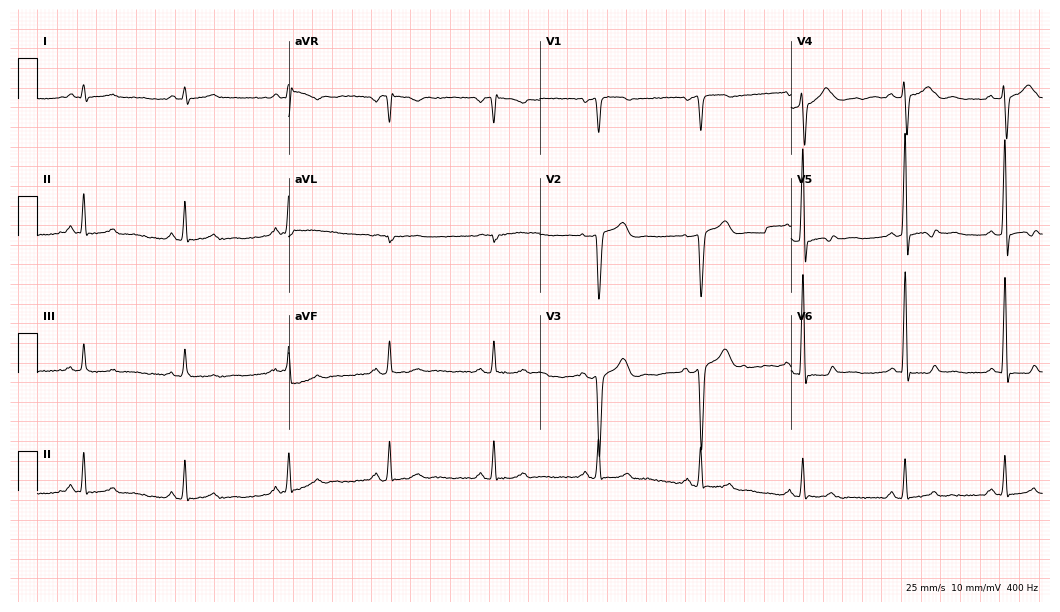
Standard 12-lead ECG recorded from a man, 56 years old (10.2-second recording at 400 Hz). None of these six findings is recorded: first-degree AV block, right bundle branch block (RBBB), left bundle branch block (LBBB), sinus bradycardia, atrial fibrillation (AF), sinus tachycardia.